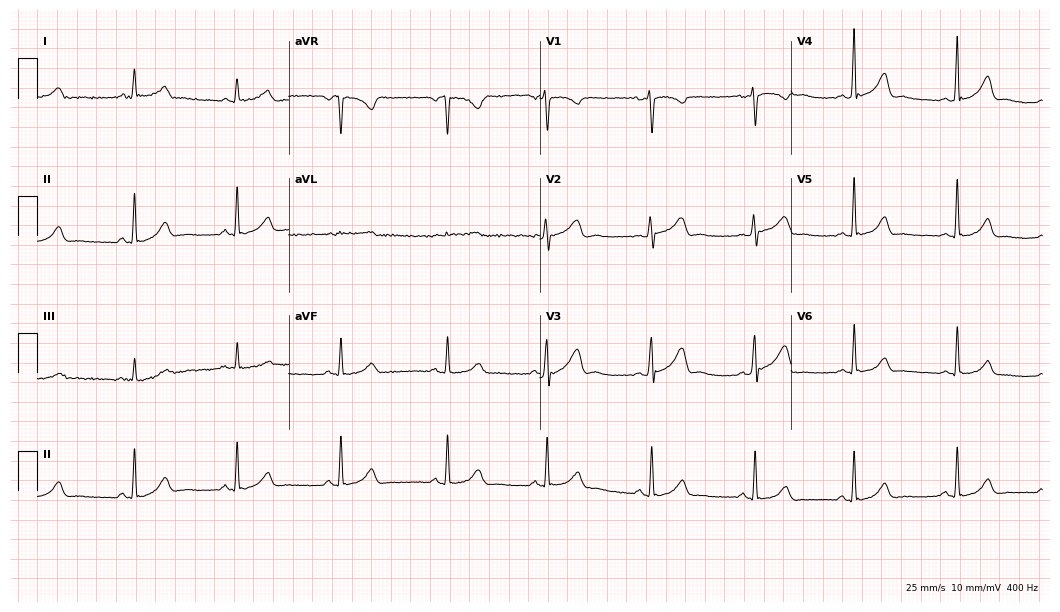
ECG (10.2-second recording at 400 Hz) — a 60-year-old female patient. Labelled as a normal ECG.